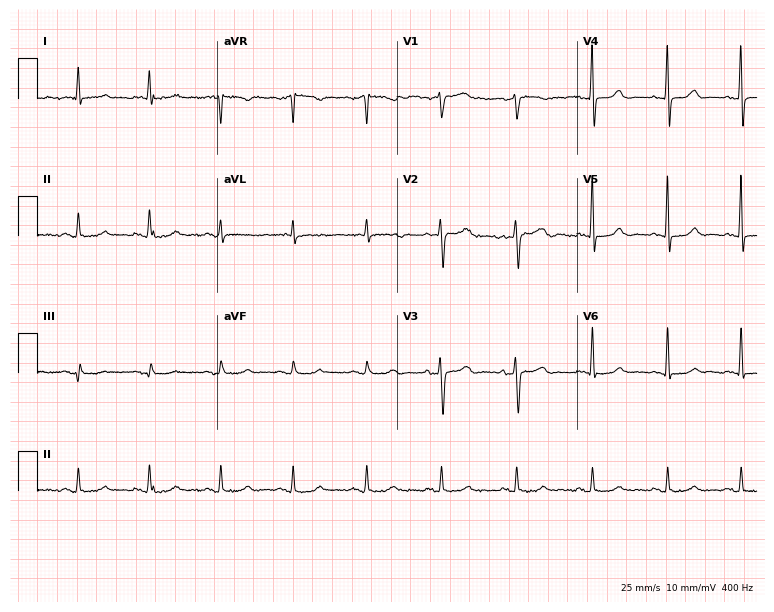
ECG (7.3-second recording at 400 Hz) — a female patient, 63 years old. Screened for six findings — first-degree AV block, right bundle branch block (RBBB), left bundle branch block (LBBB), sinus bradycardia, atrial fibrillation (AF), sinus tachycardia — none is recorded. Only these six findings were labelled.